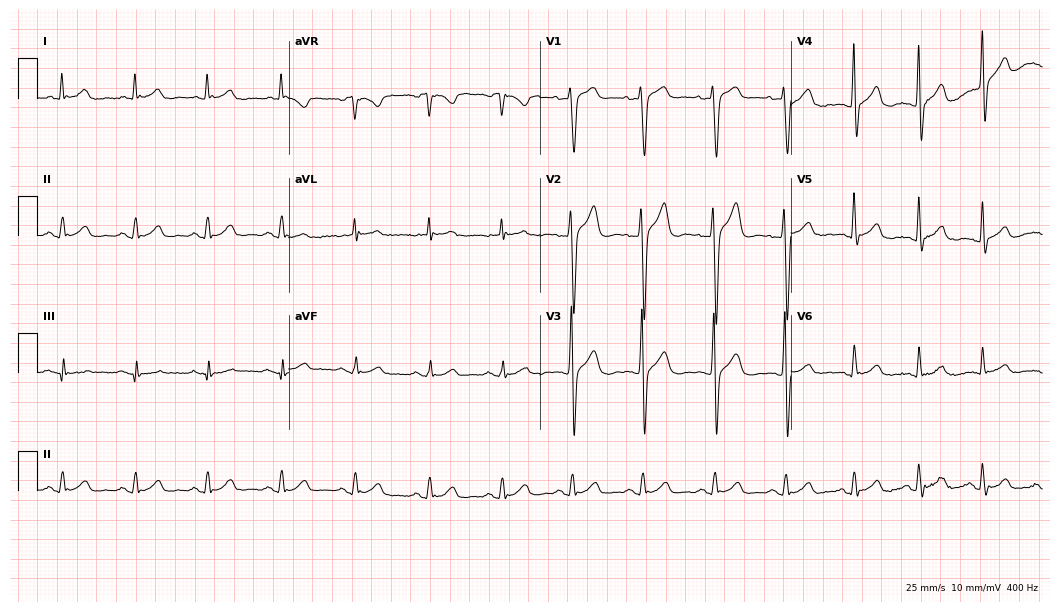
ECG — a 25-year-old man. Labelled as a normal ECG.